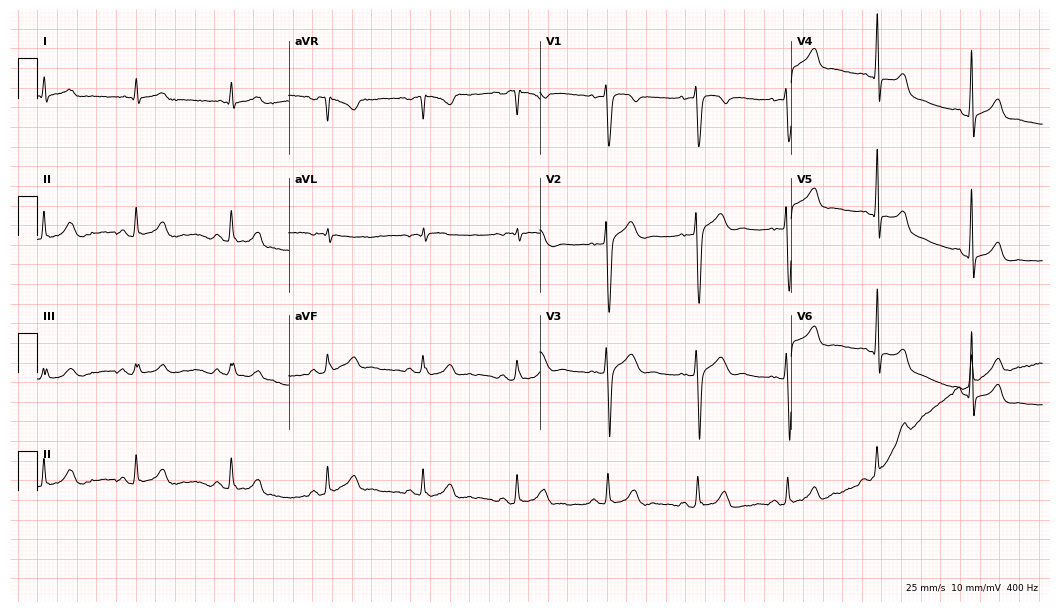
12-lead ECG from a 32-year-old man. Labelled as a normal ECG.